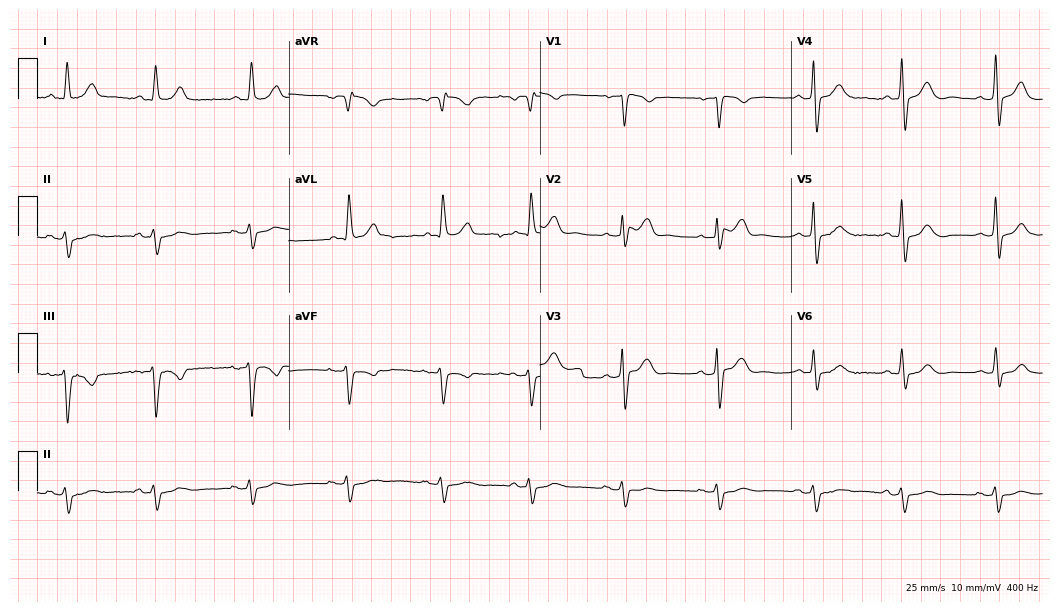
12-lead ECG from a male, 85 years old (10.2-second recording at 400 Hz). No first-degree AV block, right bundle branch block, left bundle branch block, sinus bradycardia, atrial fibrillation or sinus tachycardia recorded for this tracing.